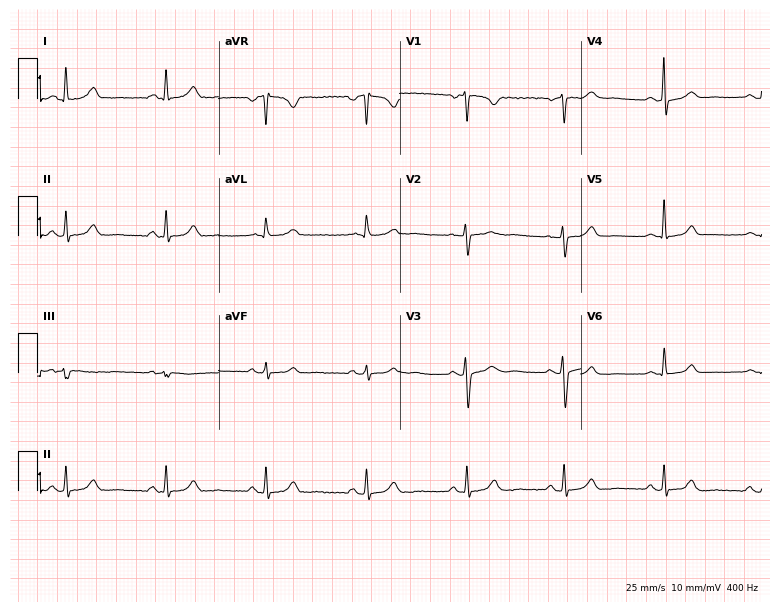
12-lead ECG from a woman, 47 years old. Recorded interpretation: within normal limits.